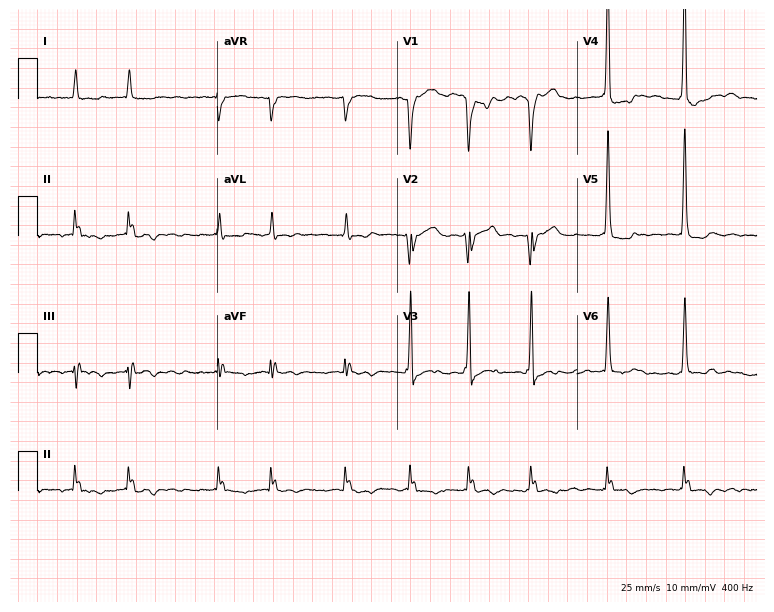
ECG — a male patient, 75 years old. Findings include atrial fibrillation (AF).